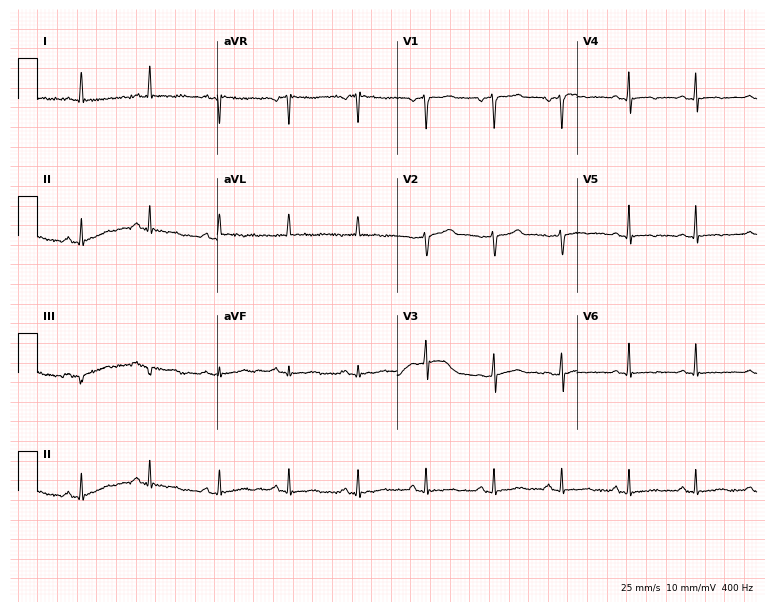
12-lead ECG from a female, 57 years old. Screened for six findings — first-degree AV block, right bundle branch block (RBBB), left bundle branch block (LBBB), sinus bradycardia, atrial fibrillation (AF), sinus tachycardia — none is recorded.